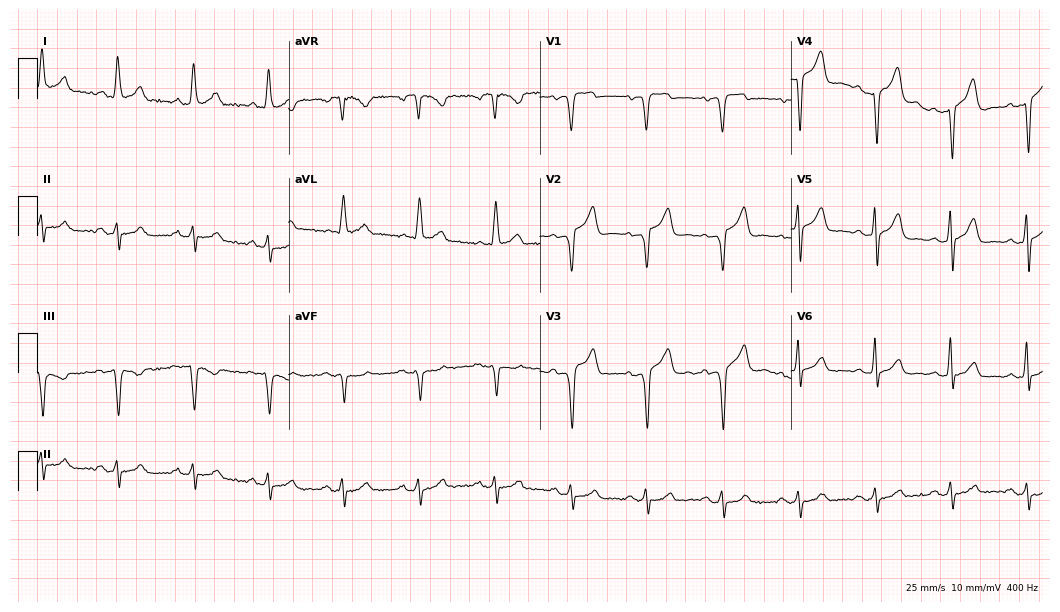
Resting 12-lead electrocardiogram. Patient: a 66-year-old man. Read as a normal ECG.